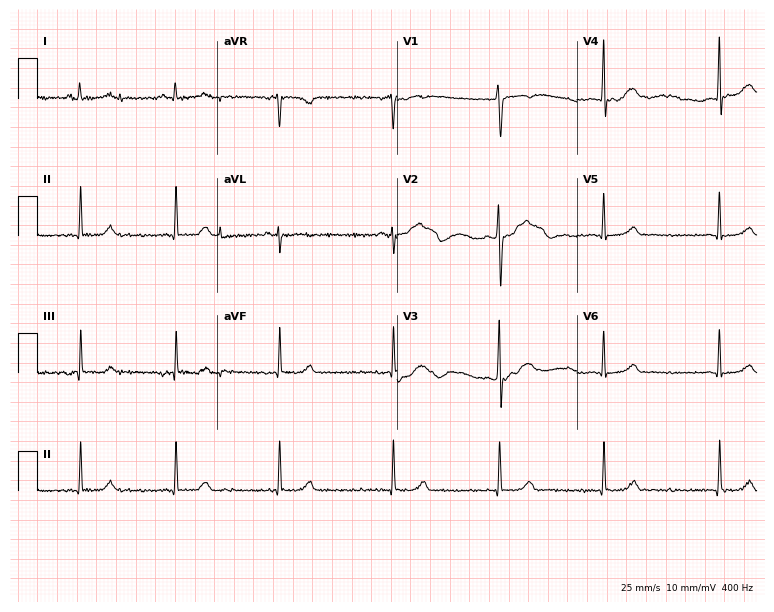
Electrocardiogram (7.3-second recording at 400 Hz), a woman, 20 years old. Of the six screened findings (first-degree AV block, right bundle branch block, left bundle branch block, sinus bradycardia, atrial fibrillation, sinus tachycardia), none is recorded. Only these six findings were labelled.